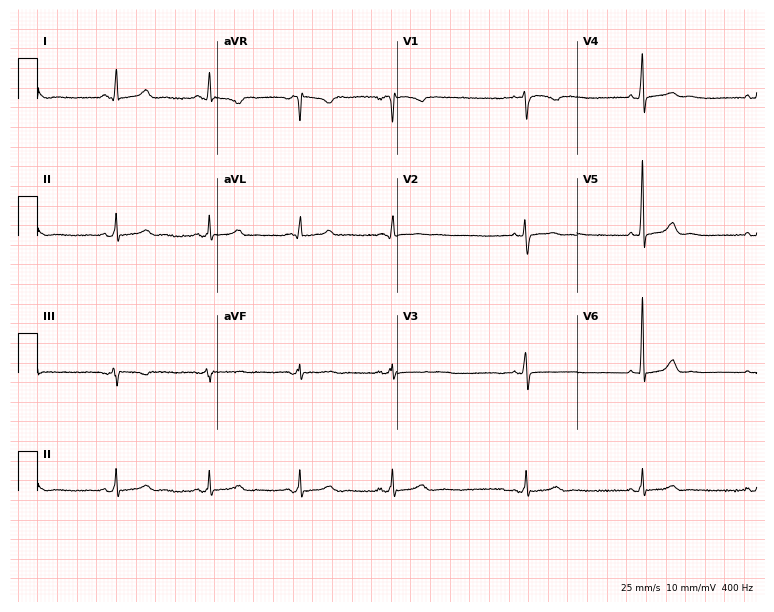
Standard 12-lead ECG recorded from a 33-year-old woman (7.3-second recording at 400 Hz). None of these six findings is recorded: first-degree AV block, right bundle branch block, left bundle branch block, sinus bradycardia, atrial fibrillation, sinus tachycardia. Findings outside these six are not listed.